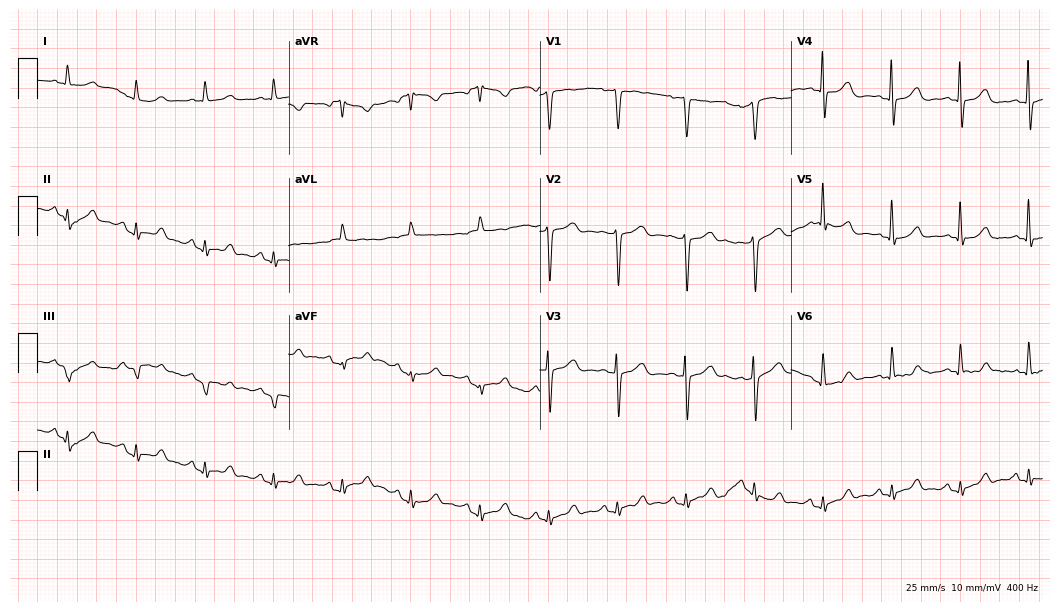
12-lead ECG from a male patient, 76 years old. Labelled as a normal ECG.